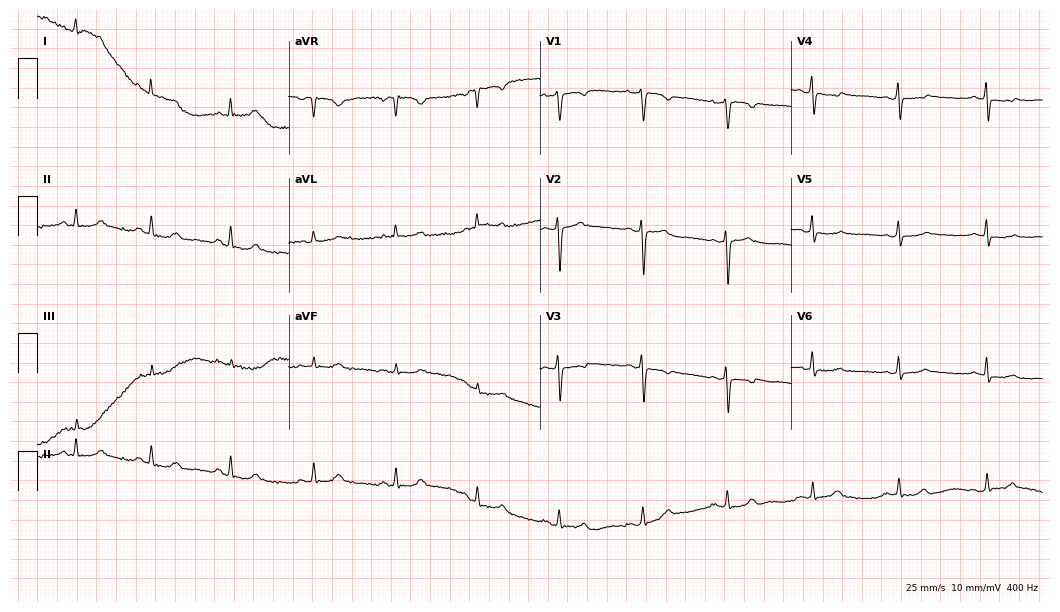
12-lead ECG (10.2-second recording at 400 Hz) from a 59-year-old woman. Screened for six findings — first-degree AV block, right bundle branch block, left bundle branch block, sinus bradycardia, atrial fibrillation, sinus tachycardia — none is recorded.